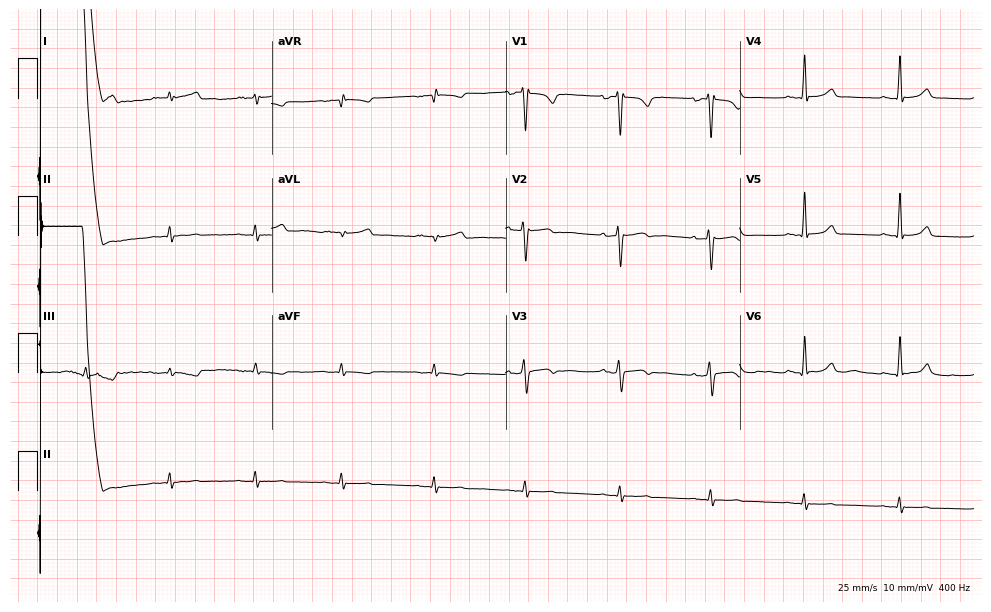
ECG — a woman, 25 years old. Screened for six findings — first-degree AV block, right bundle branch block, left bundle branch block, sinus bradycardia, atrial fibrillation, sinus tachycardia — none is recorded.